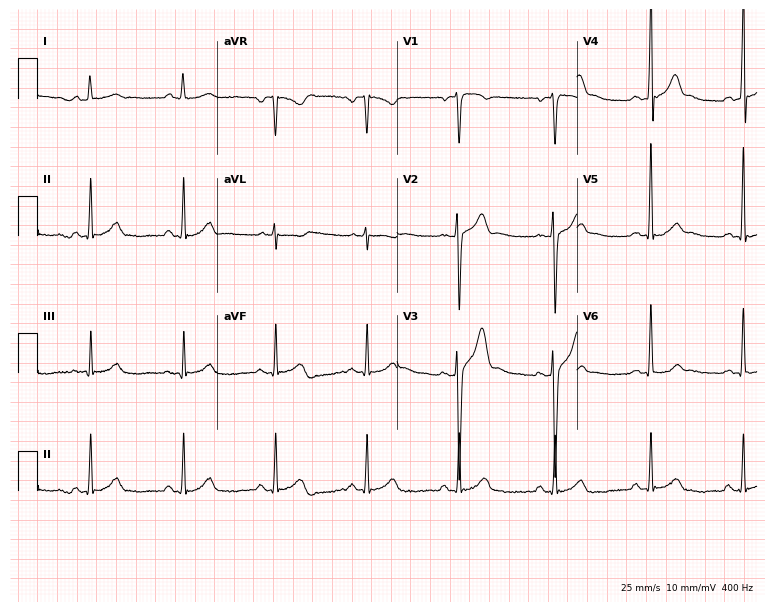
ECG — a 38-year-old male patient. Labelled as a normal ECG.